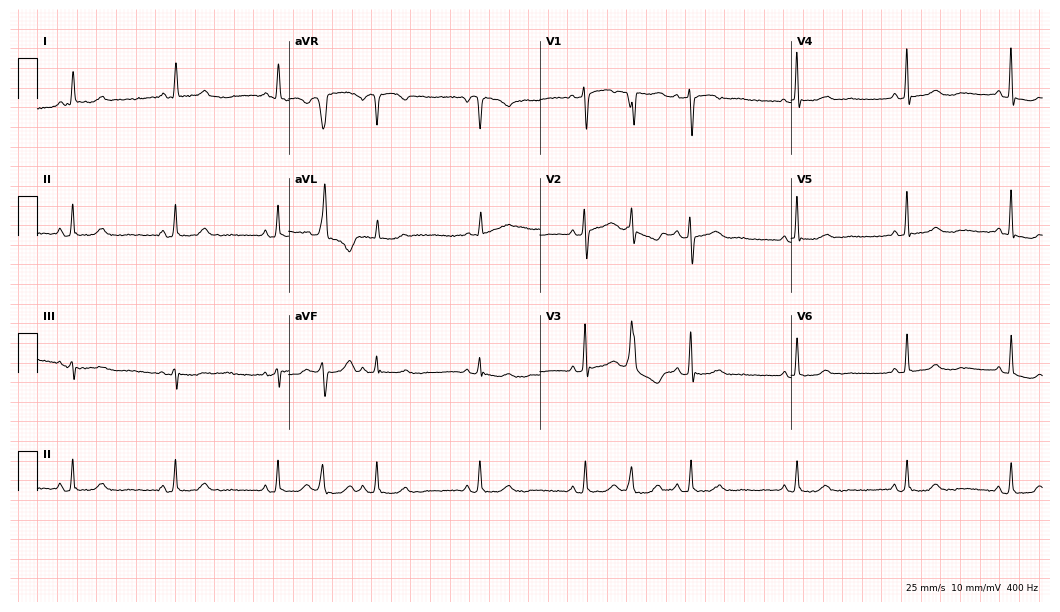
Resting 12-lead electrocardiogram (10.2-second recording at 400 Hz). Patient: a woman, 74 years old. None of these six findings is recorded: first-degree AV block, right bundle branch block, left bundle branch block, sinus bradycardia, atrial fibrillation, sinus tachycardia. Other findings, if any, are not listed.